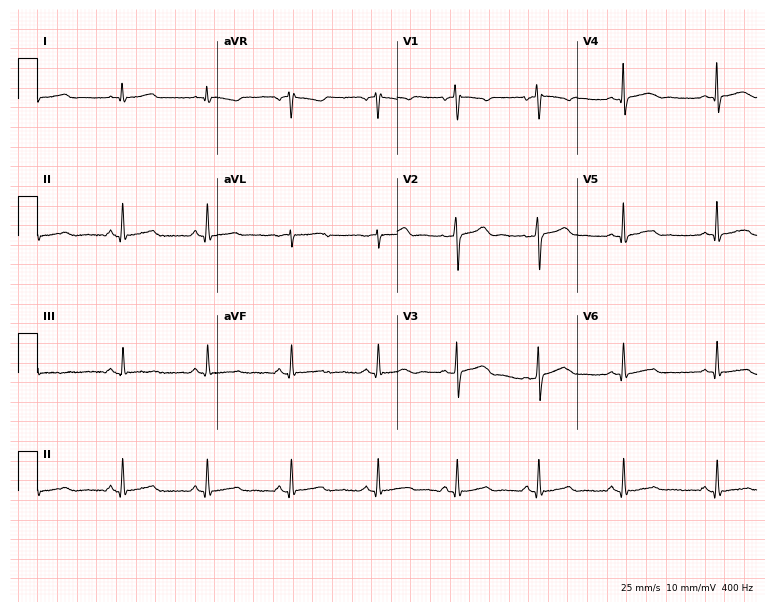
Electrocardiogram (7.3-second recording at 400 Hz), a 43-year-old female. Of the six screened findings (first-degree AV block, right bundle branch block, left bundle branch block, sinus bradycardia, atrial fibrillation, sinus tachycardia), none is recorded. Only these six findings were labelled.